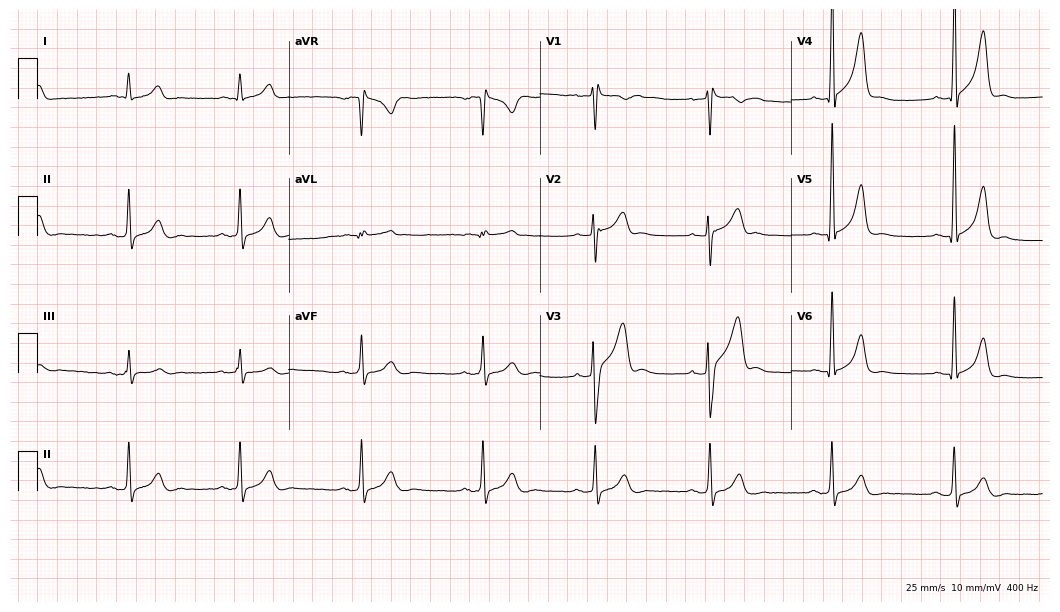
Standard 12-lead ECG recorded from a man, 51 years old. None of these six findings is recorded: first-degree AV block, right bundle branch block, left bundle branch block, sinus bradycardia, atrial fibrillation, sinus tachycardia. Other findings, if any, are not listed.